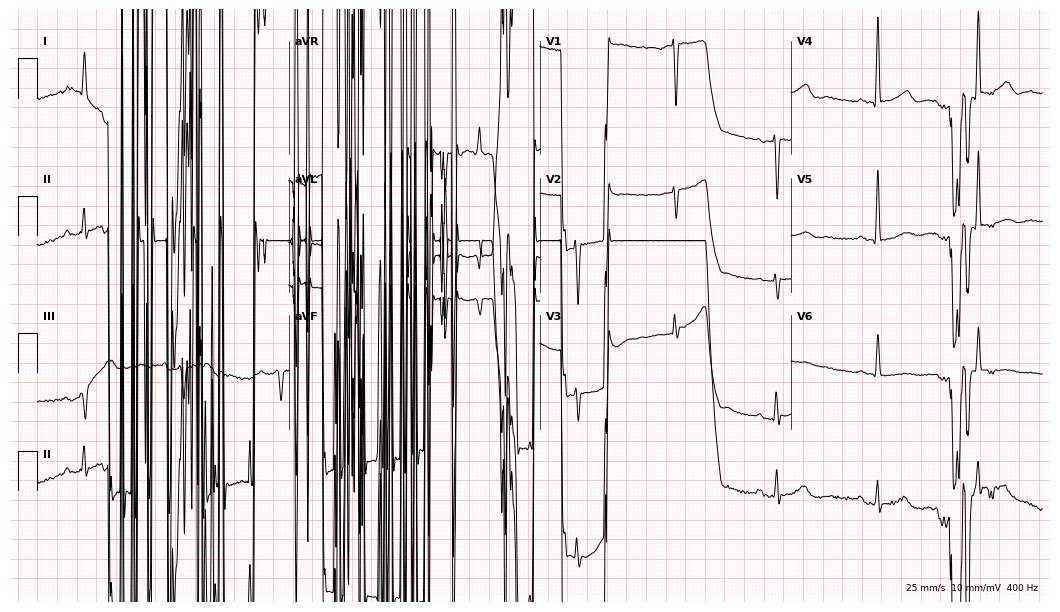
Standard 12-lead ECG recorded from a female, 85 years old (10.2-second recording at 400 Hz). None of these six findings is recorded: first-degree AV block, right bundle branch block, left bundle branch block, sinus bradycardia, atrial fibrillation, sinus tachycardia. Findings outside these six are not listed.